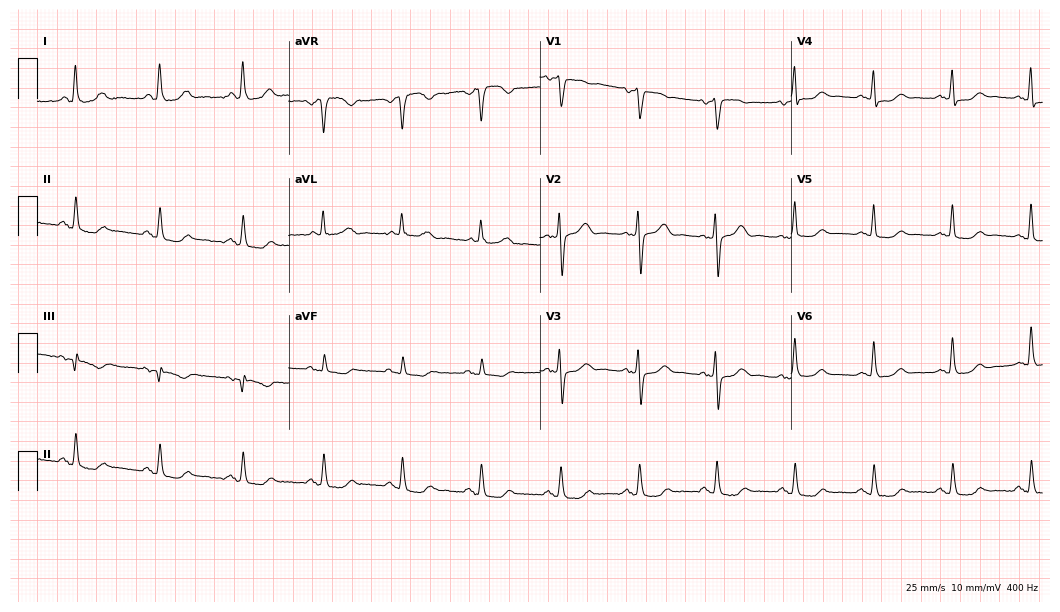
Standard 12-lead ECG recorded from a female, 66 years old (10.2-second recording at 400 Hz). Read as a normal ECG.